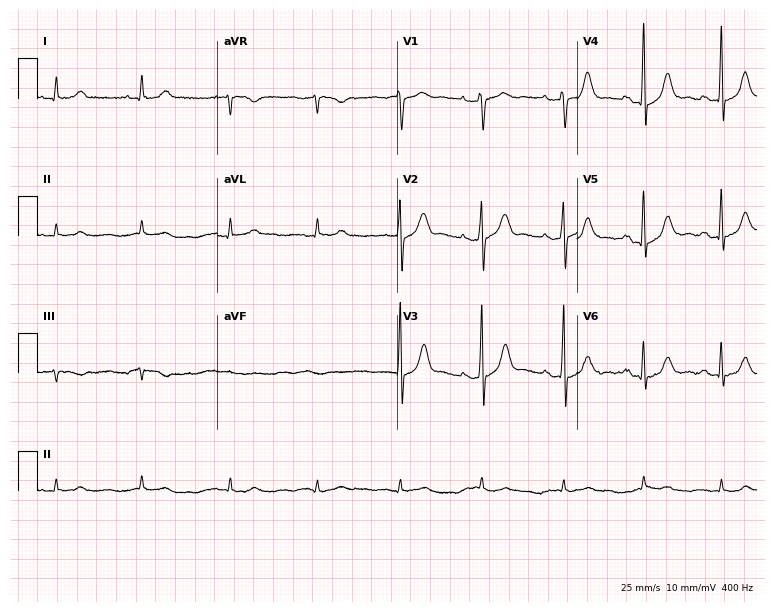
Electrocardiogram (7.3-second recording at 400 Hz), a 62-year-old man. Of the six screened findings (first-degree AV block, right bundle branch block (RBBB), left bundle branch block (LBBB), sinus bradycardia, atrial fibrillation (AF), sinus tachycardia), none is recorded. Findings outside these six are not listed.